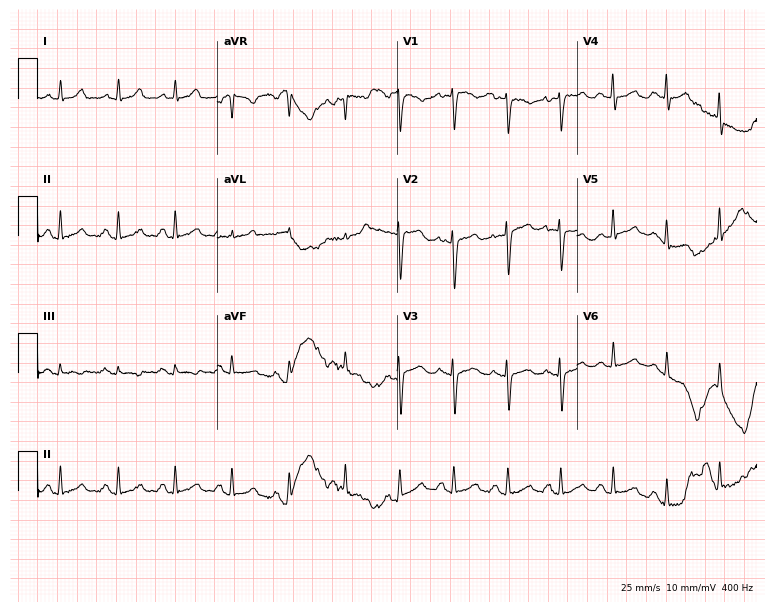
Electrocardiogram (7.3-second recording at 400 Hz), a female, 51 years old. Interpretation includes sinus tachycardia (a sinus rate of 100 beats per minute or more).